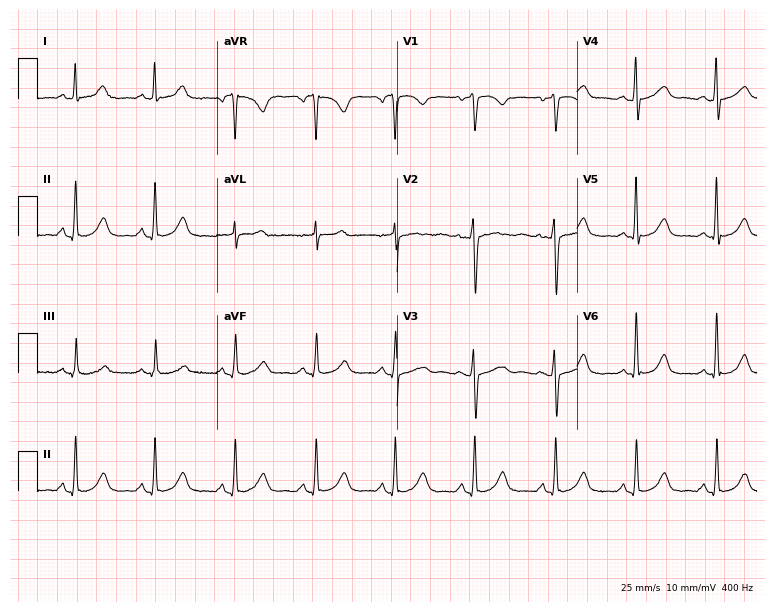
12-lead ECG (7.3-second recording at 400 Hz) from a female, 34 years old. Labelled as a normal ECG.